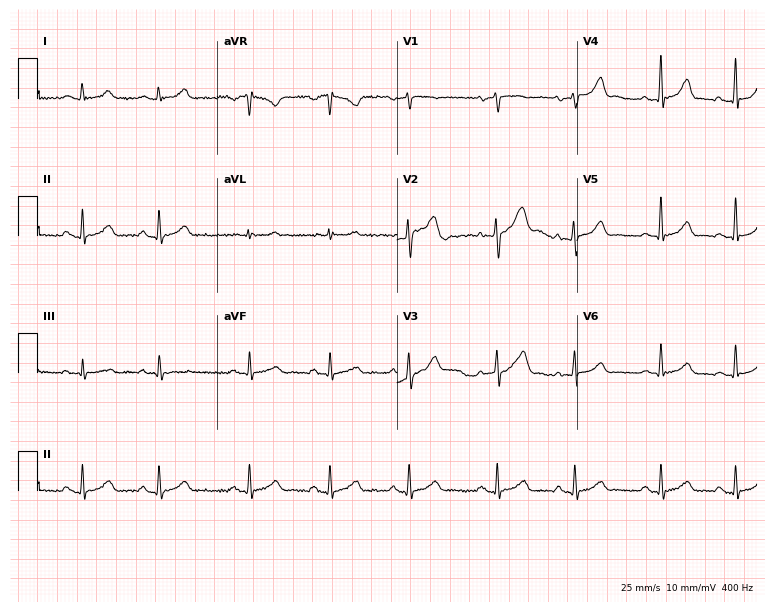
Resting 12-lead electrocardiogram (7.3-second recording at 400 Hz). Patient: a male, 43 years old. Read as a normal ECG.